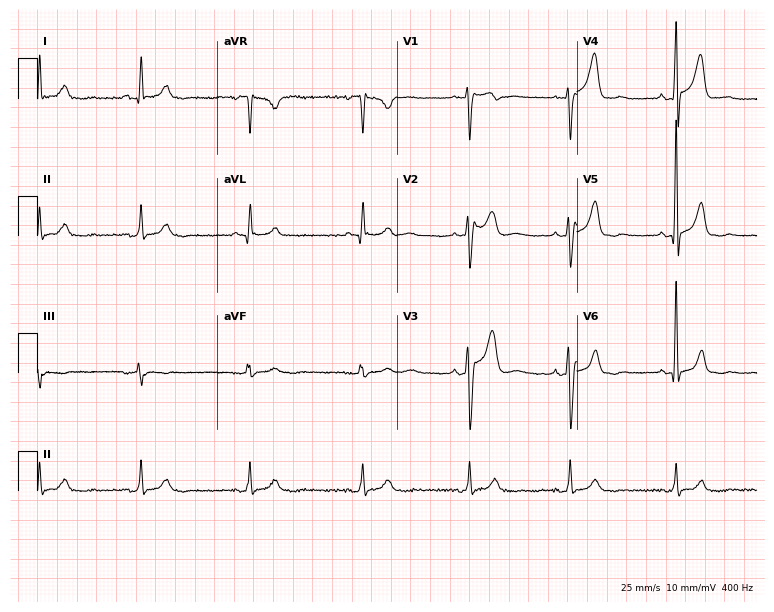
Electrocardiogram, a man, 59 years old. Of the six screened findings (first-degree AV block, right bundle branch block, left bundle branch block, sinus bradycardia, atrial fibrillation, sinus tachycardia), none is recorded.